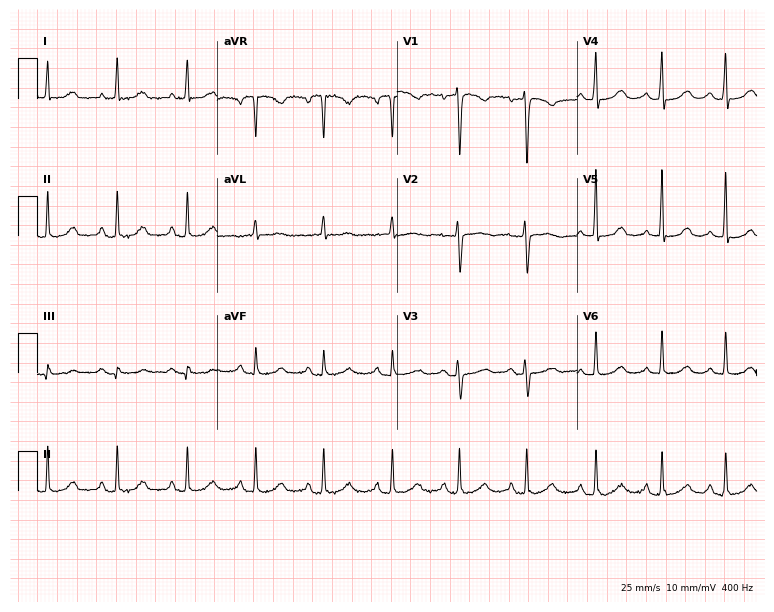
12-lead ECG from a 57-year-old female patient. Labelled as a normal ECG.